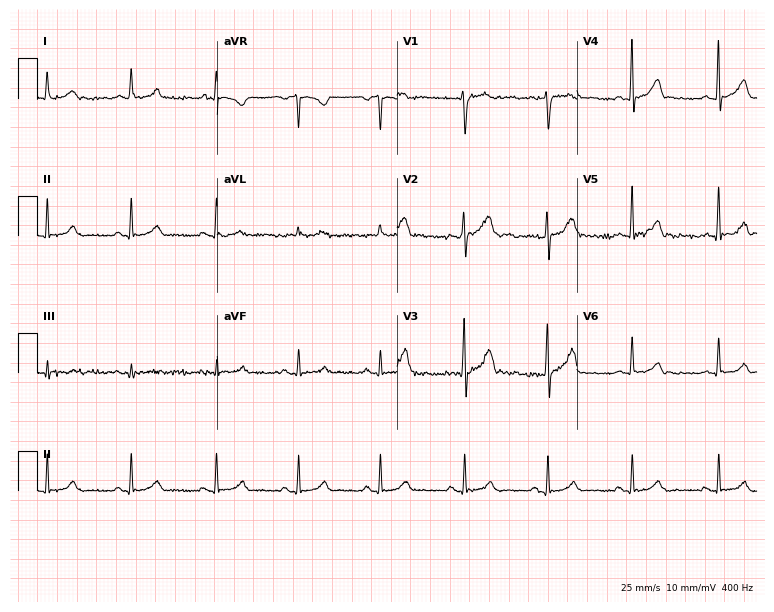
ECG — a 40-year-old male. Labelled as a normal ECG.